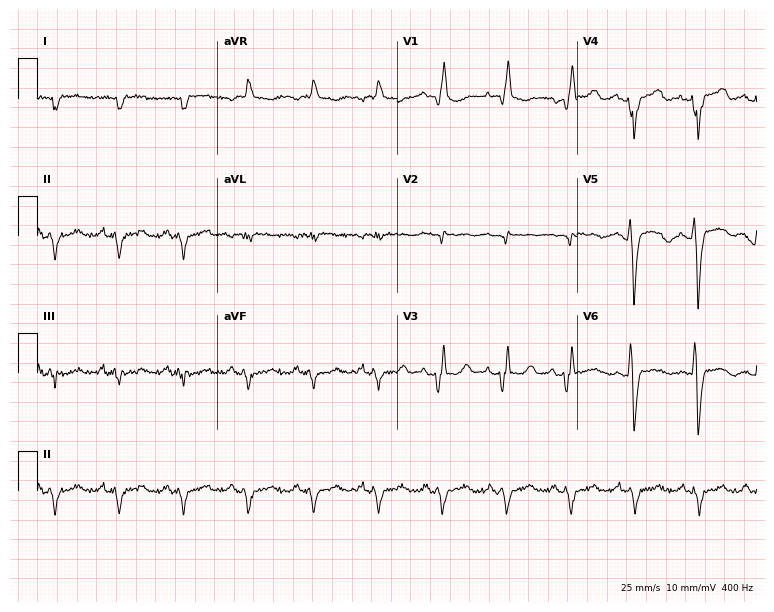
ECG (7.3-second recording at 400 Hz) — a 66-year-old man. Screened for six findings — first-degree AV block, right bundle branch block, left bundle branch block, sinus bradycardia, atrial fibrillation, sinus tachycardia — none is recorded. Findings outside these six are not listed.